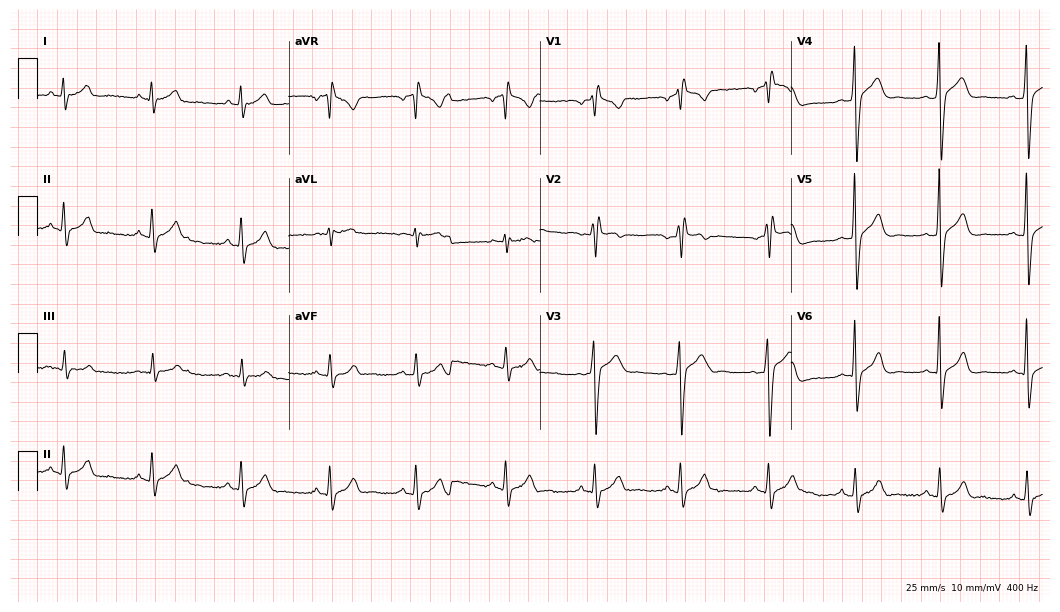
Standard 12-lead ECG recorded from an 18-year-old male patient. None of these six findings is recorded: first-degree AV block, right bundle branch block, left bundle branch block, sinus bradycardia, atrial fibrillation, sinus tachycardia. Only these six findings were labelled.